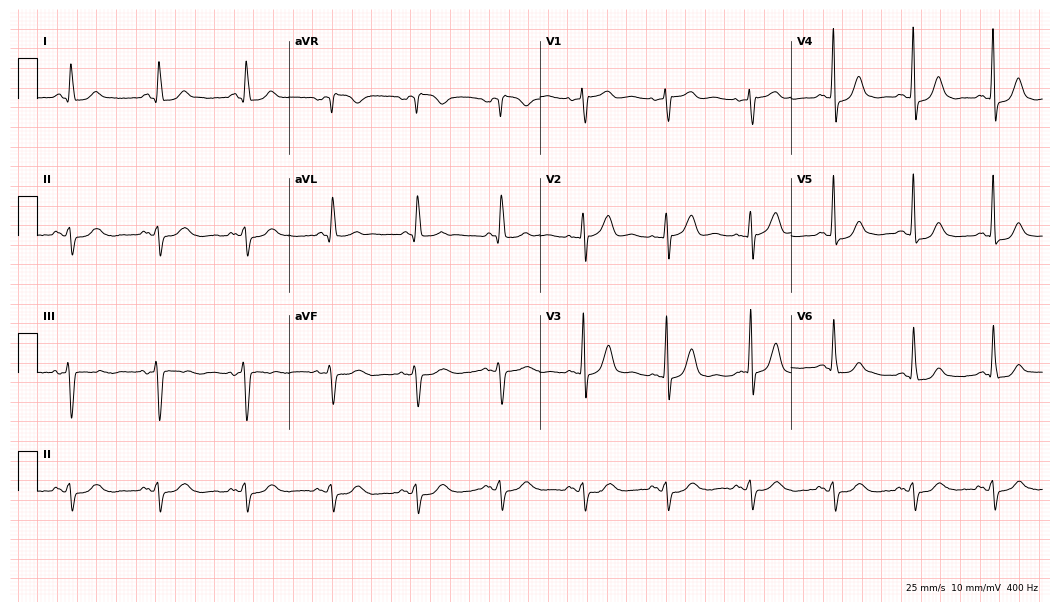
ECG (10.2-second recording at 400 Hz) — a 75-year-old male patient. Screened for six findings — first-degree AV block, right bundle branch block (RBBB), left bundle branch block (LBBB), sinus bradycardia, atrial fibrillation (AF), sinus tachycardia — none is recorded.